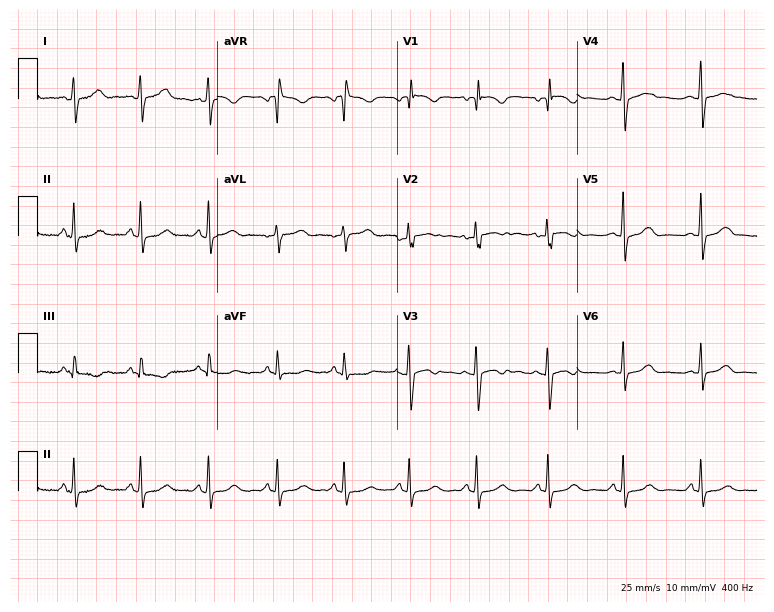
Standard 12-lead ECG recorded from a woman, 18 years old. None of these six findings is recorded: first-degree AV block, right bundle branch block (RBBB), left bundle branch block (LBBB), sinus bradycardia, atrial fibrillation (AF), sinus tachycardia.